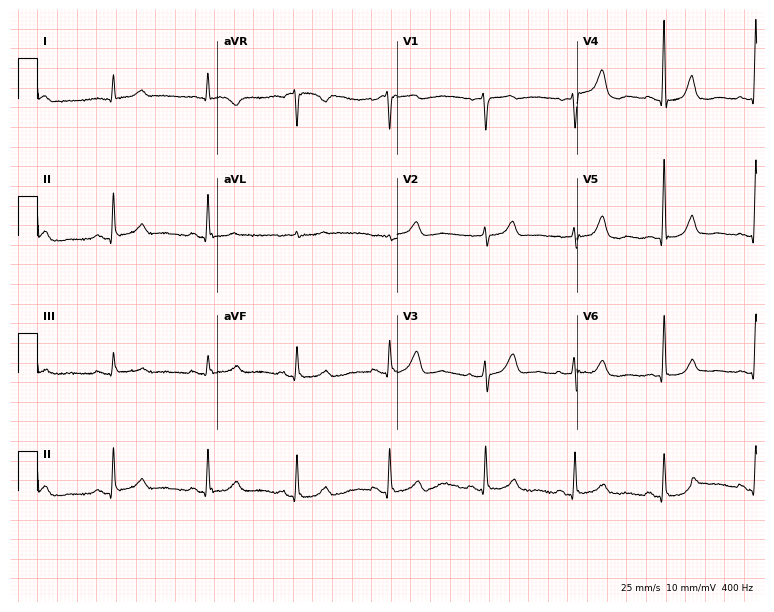
12-lead ECG from a woman, 71 years old. Screened for six findings — first-degree AV block, right bundle branch block, left bundle branch block, sinus bradycardia, atrial fibrillation, sinus tachycardia — none is recorded.